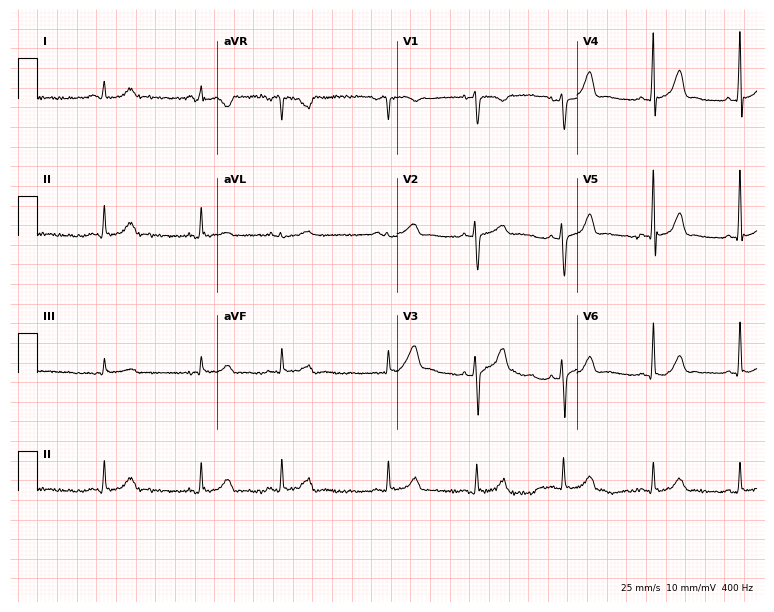
ECG — a 30-year-old woman. Screened for six findings — first-degree AV block, right bundle branch block, left bundle branch block, sinus bradycardia, atrial fibrillation, sinus tachycardia — none is recorded.